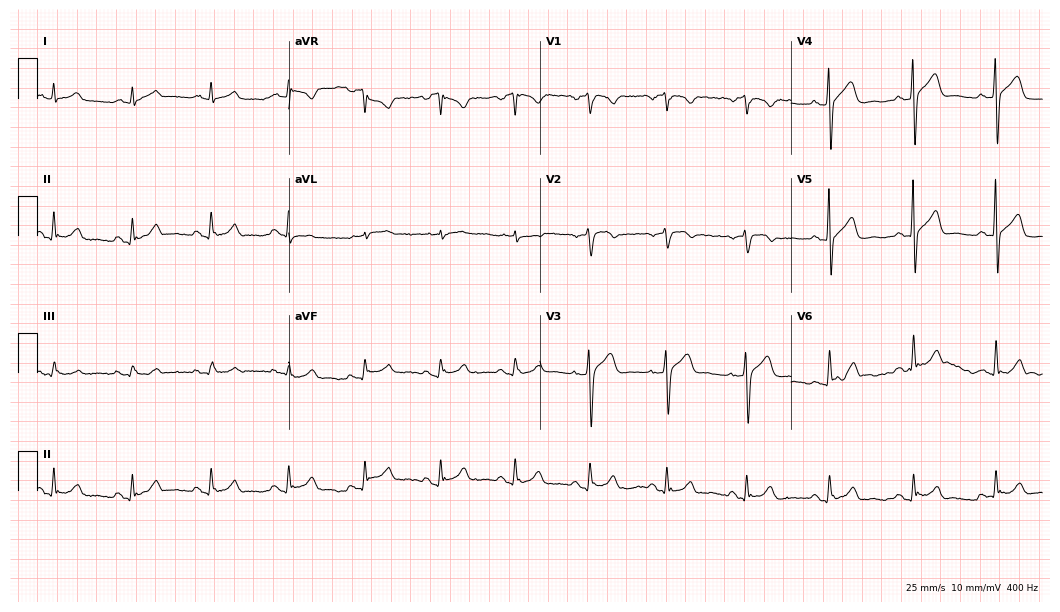
Electrocardiogram (10.2-second recording at 400 Hz), a male patient, 55 years old. Overall reading on record: normal ECG.